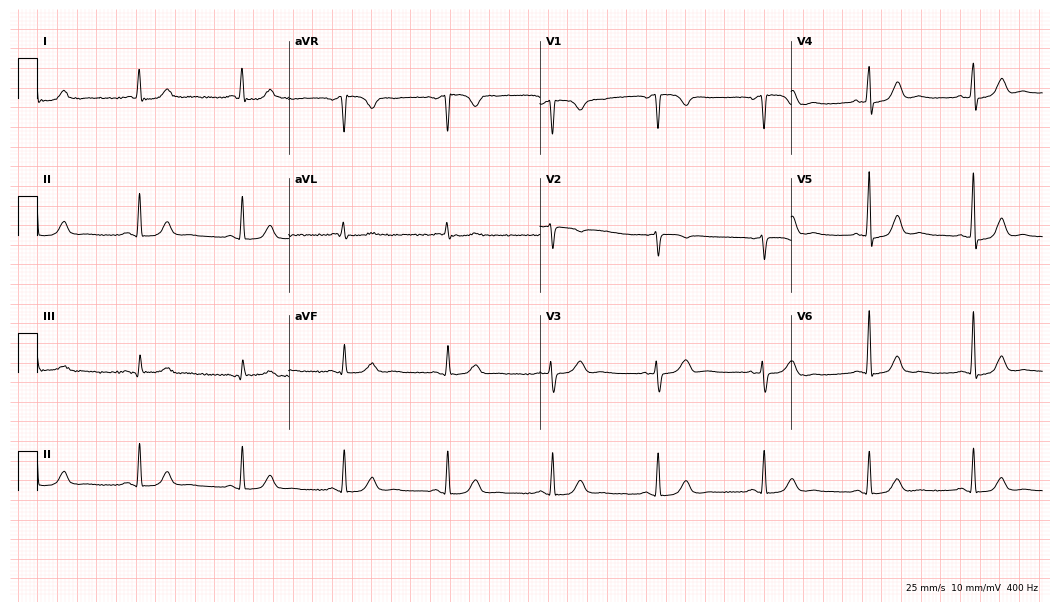
Electrocardiogram, a 78-year-old woman. Overall reading on record: normal ECG.